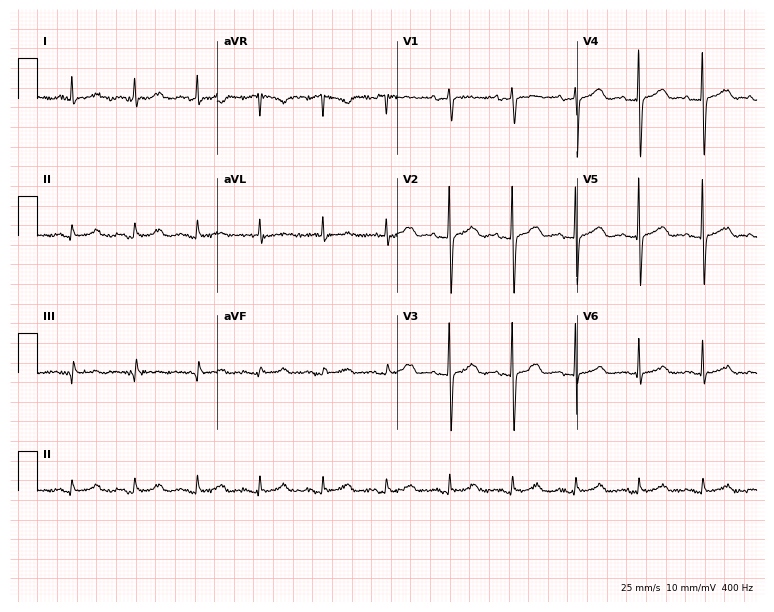
ECG — a female, 81 years old. Screened for six findings — first-degree AV block, right bundle branch block, left bundle branch block, sinus bradycardia, atrial fibrillation, sinus tachycardia — none is recorded.